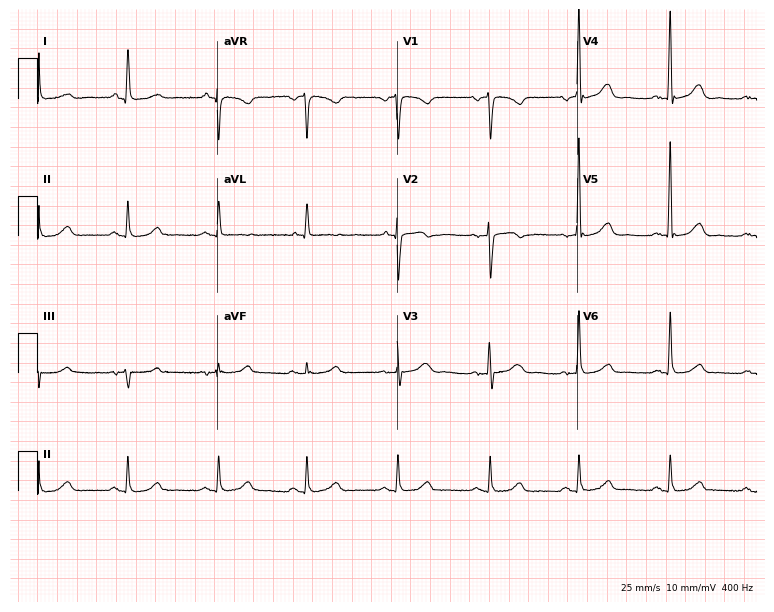
Resting 12-lead electrocardiogram. Patient: a woman, 77 years old. Read as a normal ECG.